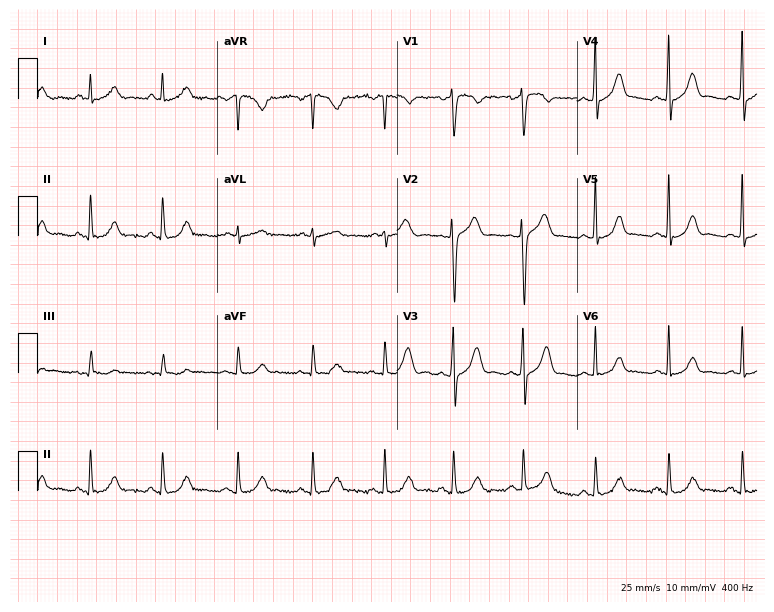
12-lead ECG from a male patient, 62 years old (7.3-second recording at 400 Hz). Recorded interpretation: within normal limits.